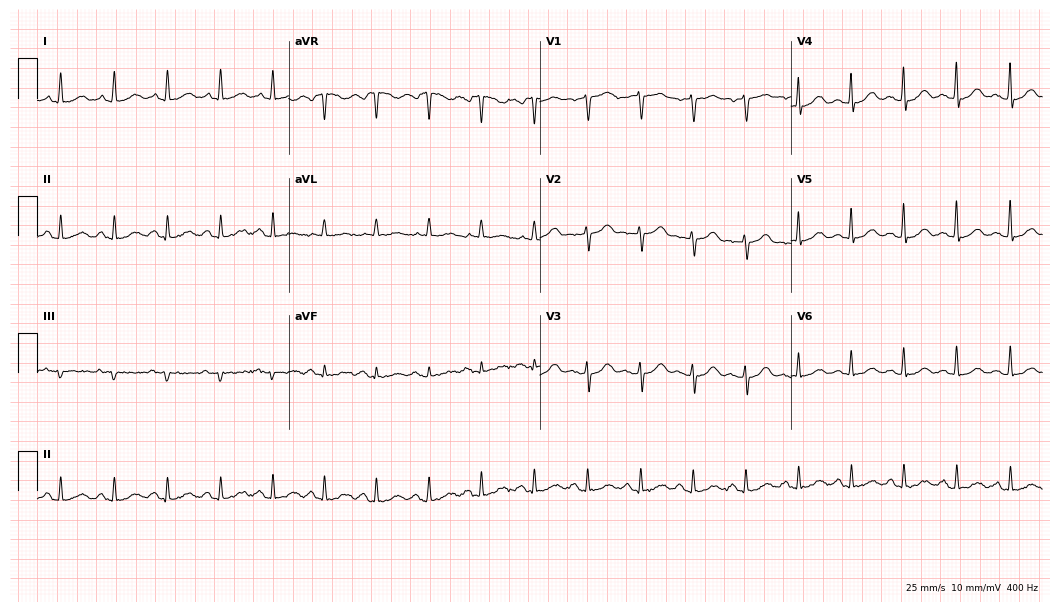
Resting 12-lead electrocardiogram (10.2-second recording at 400 Hz). Patient: a 62-year-old female. None of these six findings is recorded: first-degree AV block, right bundle branch block (RBBB), left bundle branch block (LBBB), sinus bradycardia, atrial fibrillation (AF), sinus tachycardia. Only these six findings were labelled.